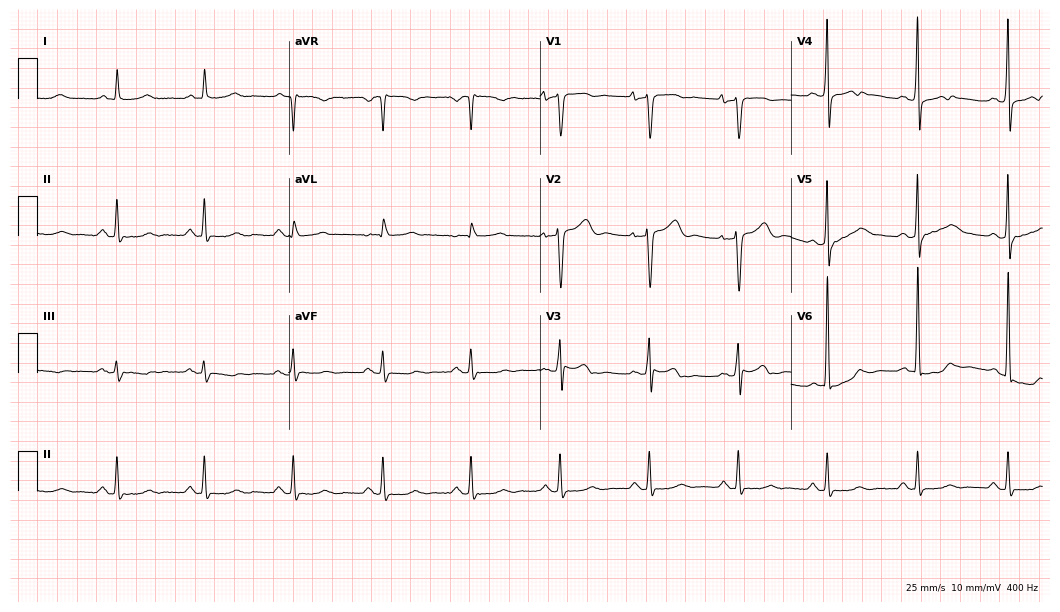
12-lead ECG from a female, 83 years old. Screened for six findings — first-degree AV block, right bundle branch block (RBBB), left bundle branch block (LBBB), sinus bradycardia, atrial fibrillation (AF), sinus tachycardia — none is recorded. Other findings, if any, are not listed.